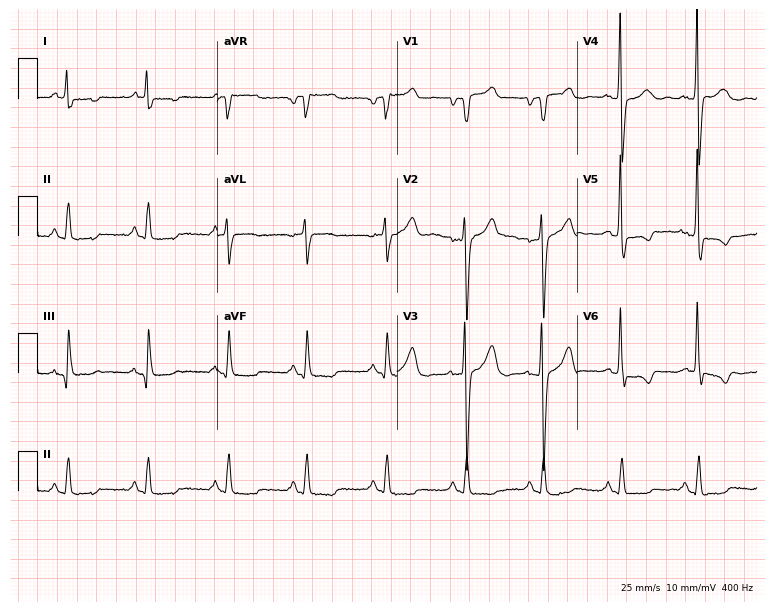
12-lead ECG from a man, 65 years old (7.3-second recording at 400 Hz). No first-degree AV block, right bundle branch block, left bundle branch block, sinus bradycardia, atrial fibrillation or sinus tachycardia recorded for this tracing. Findings outside these six are not listed.